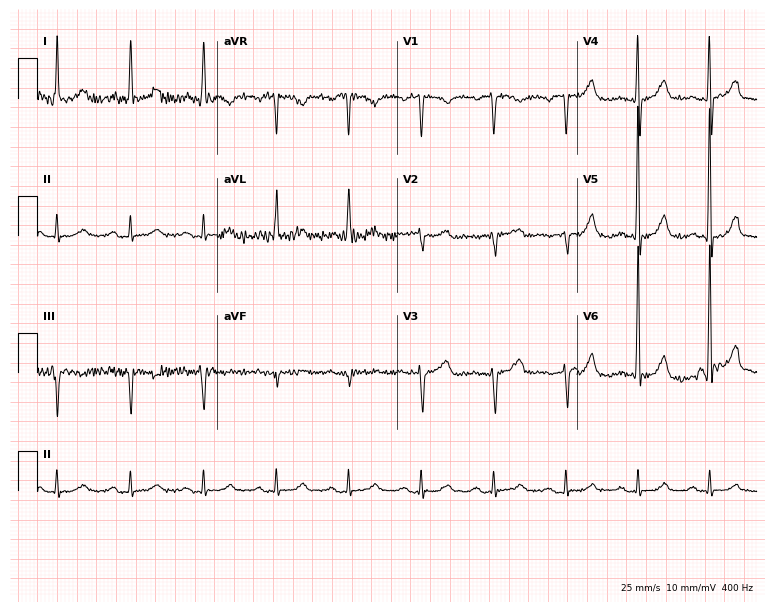
Electrocardiogram (7.3-second recording at 400 Hz), an 82-year-old man. Overall reading on record: normal ECG.